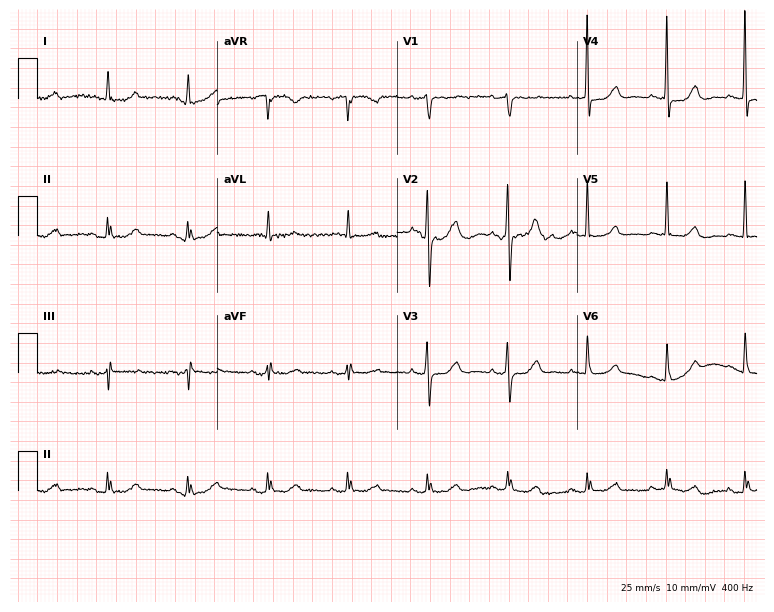
12-lead ECG from a female, 79 years old (7.3-second recording at 400 Hz). Recorded interpretation: within normal limits.